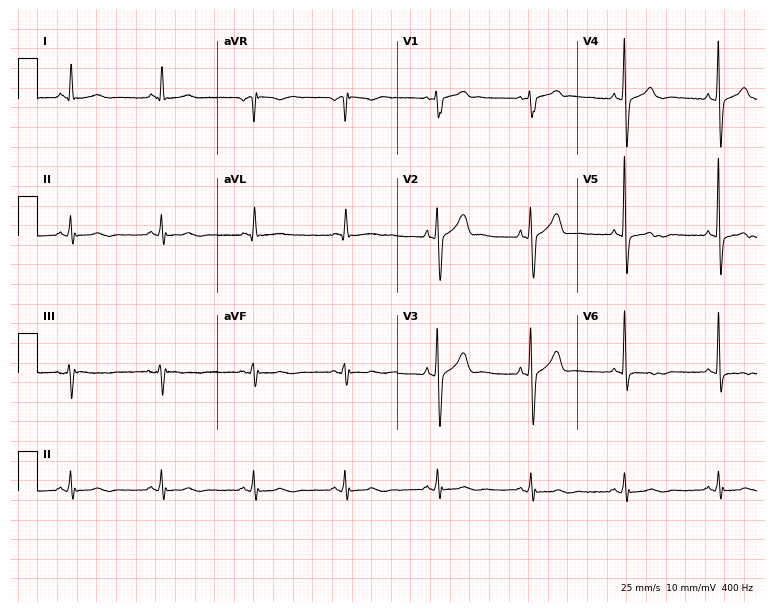
ECG — a 74-year-old male. Screened for six findings — first-degree AV block, right bundle branch block, left bundle branch block, sinus bradycardia, atrial fibrillation, sinus tachycardia — none is recorded. Findings outside these six are not listed.